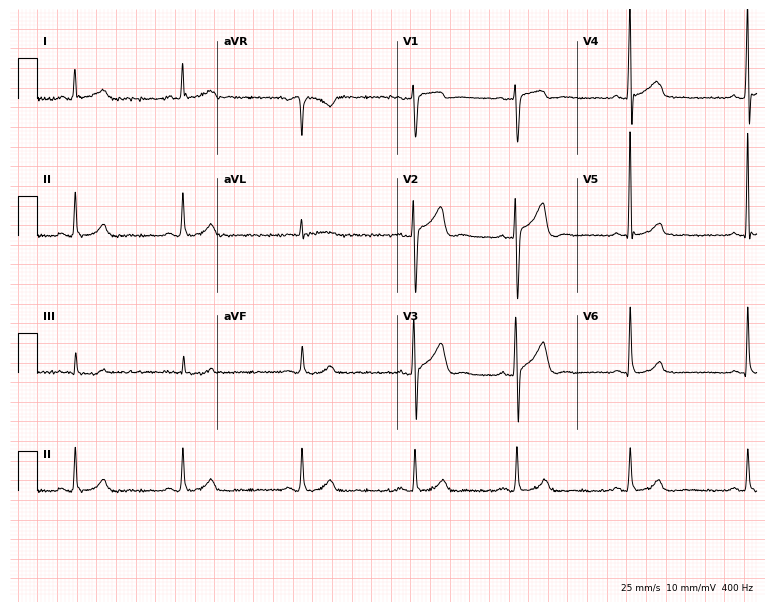
Standard 12-lead ECG recorded from a 32-year-old male patient. None of these six findings is recorded: first-degree AV block, right bundle branch block, left bundle branch block, sinus bradycardia, atrial fibrillation, sinus tachycardia. Other findings, if any, are not listed.